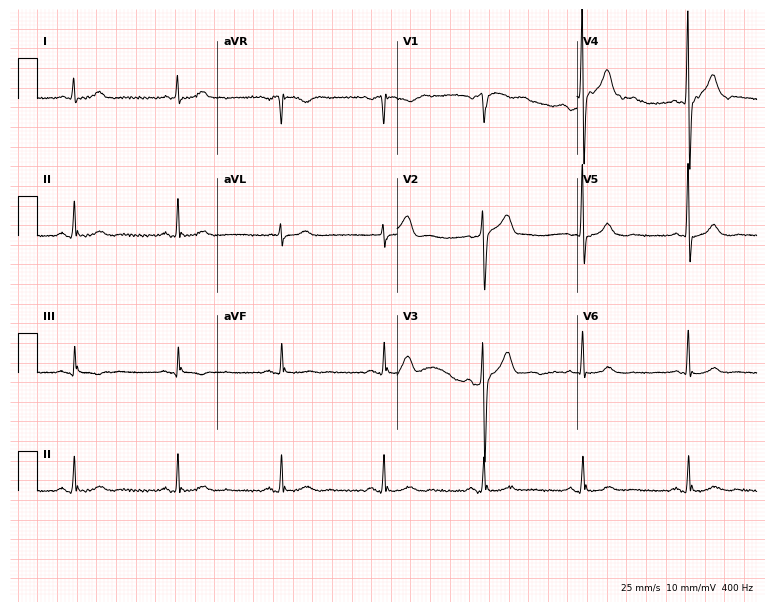
12-lead ECG from a male patient, 64 years old. Labelled as a normal ECG.